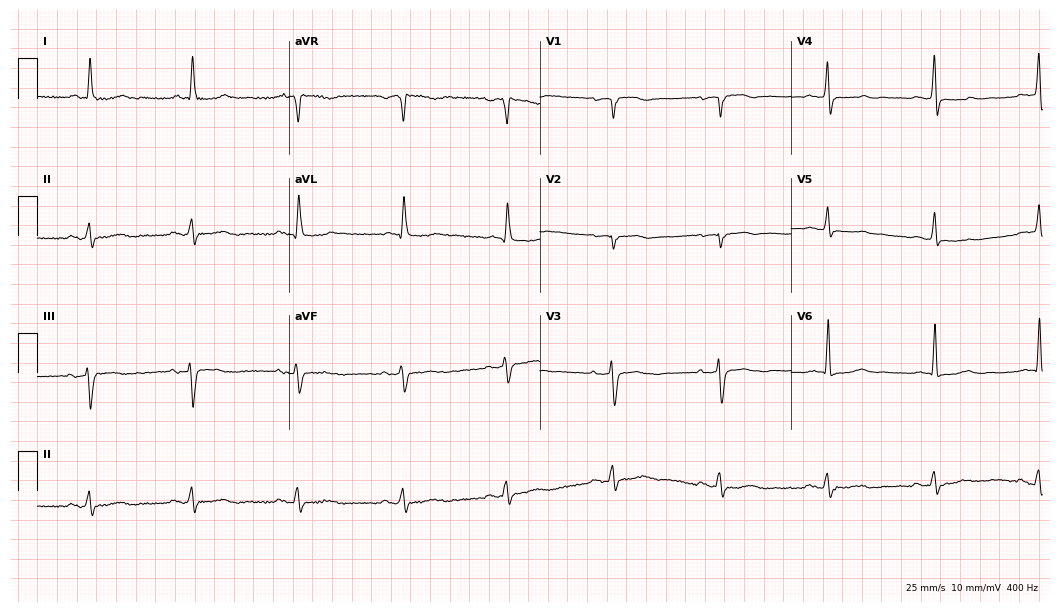
12-lead ECG from a 72-year-old female. Screened for six findings — first-degree AV block, right bundle branch block, left bundle branch block, sinus bradycardia, atrial fibrillation, sinus tachycardia — none is recorded. Only these six findings were labelled.